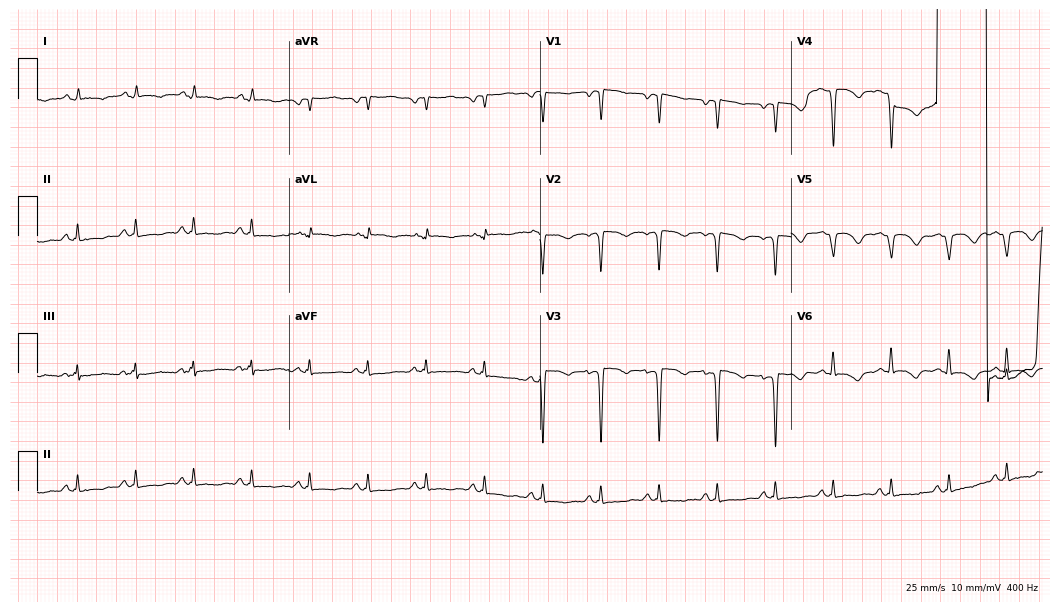
Standard 12-lead ECG recorded from a female patient, 45 years old (10.2-second recording at 400 Hz). None of these six findings is recorded: first-degree AV block, right bundle branch block (RBBB), left bundle branch block (LBBB), sinus bradycardia, atrial fibrillation (AF), sinus tachycardia.